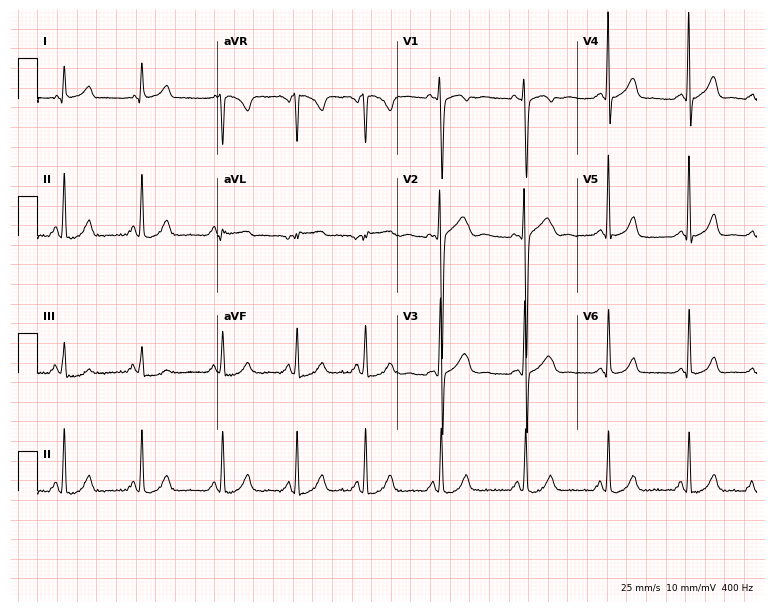
Electrocardiogram (7.3-second recording at 400 Hz), a 24-year-old woman. Of the six screened findings (first-degree AV block, right bundle branch block (RBBB), left bundle branch block (LBBB), sinus bradycardia, atrial fibrillation (AF), sinus tachycardia), none is recorded. Other findings, if any, are not listed.